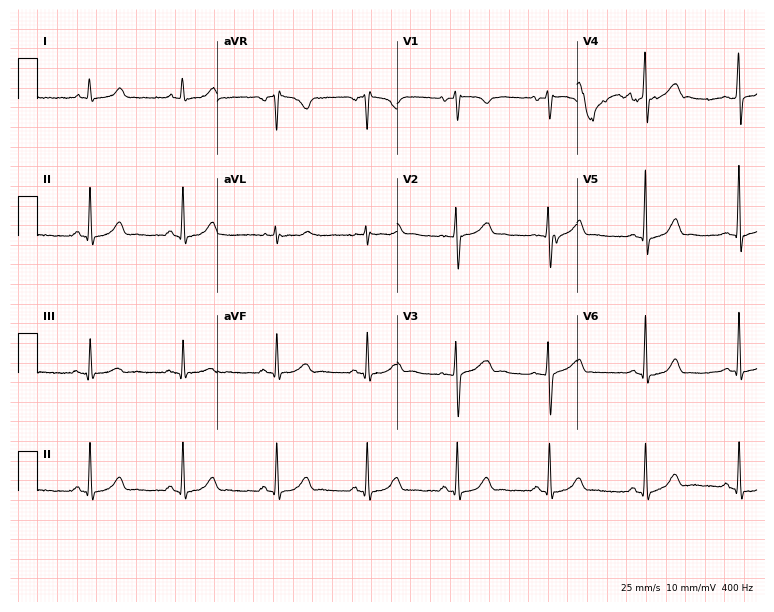
12-lead ECG from a 35-year-old female (7.3-second recording at 400 Hz). Recorded interpretation: within normal limits.